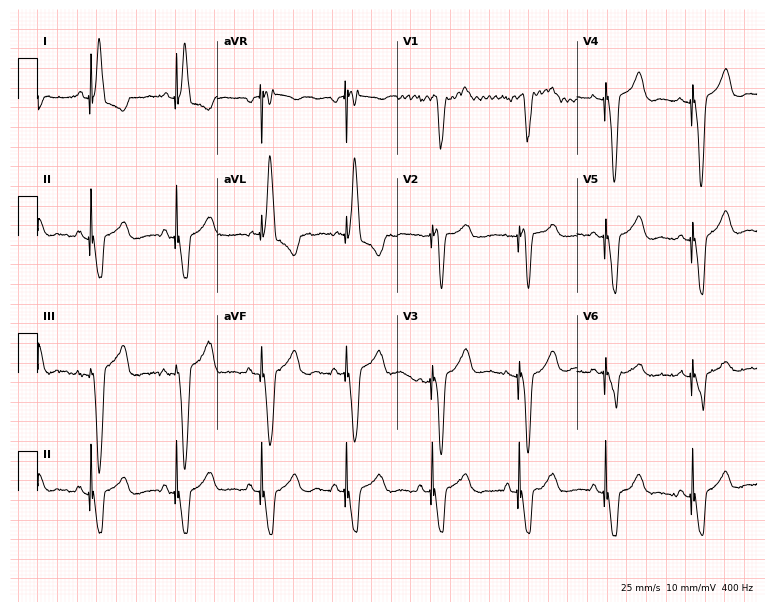
Resting 12-lead electrocardiogram (7.3-second recording at 400 Hz). Patient: a 72-year-old female. None of these six findings is recorded: first-degree AV block, right bundle branch block (RBBB), left bundle branch block (LBBB), sinus bradycardia, atrial fibrillation (AF), sinus tachycardia. Only these six findings were labelled.